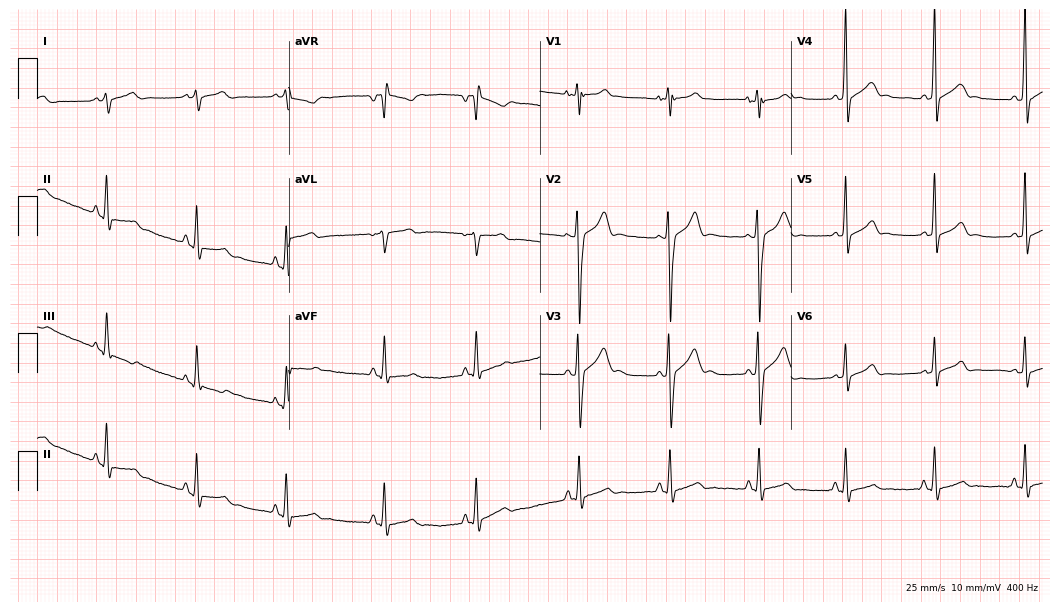
Standard 12-lead ECG recorded from an 18-year-old male (10.2-second recording at 400 Hz). Read as a normal ECG.